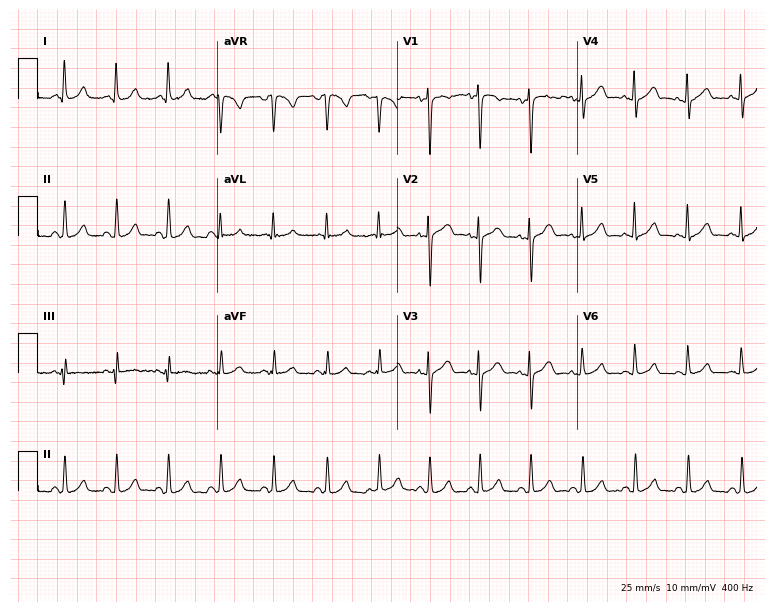
Standard 12-lead ECG recorded from a 41-year-old woman (7.3-second recording at 400 Hz). The tracing shows sinus tachycardia (a sinus rate of 100 beats per minute or more).